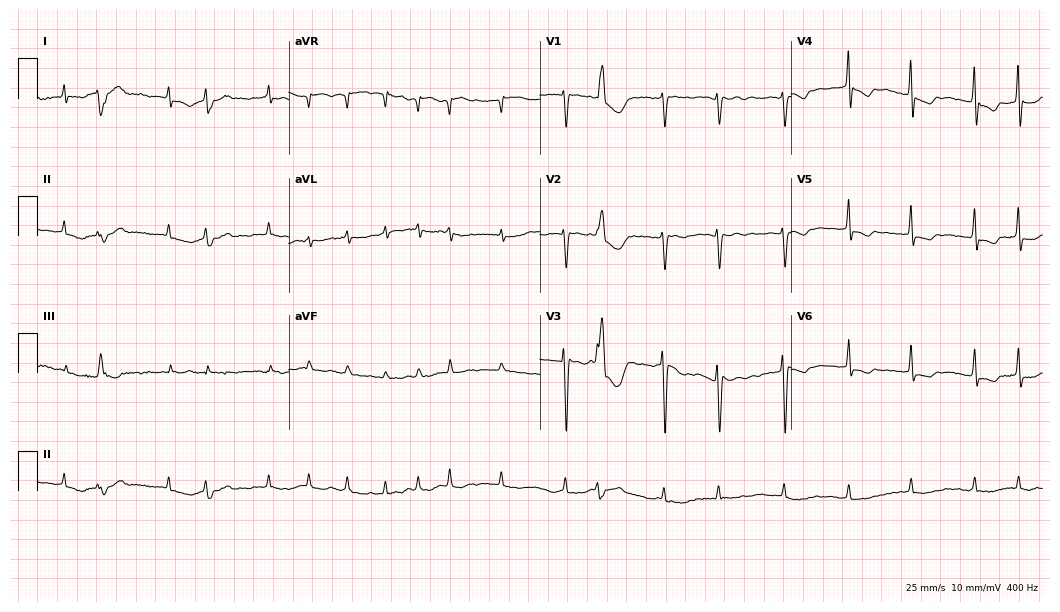
ECG — a woman, 84 years old. Findings include atrial fibrillation (AF).